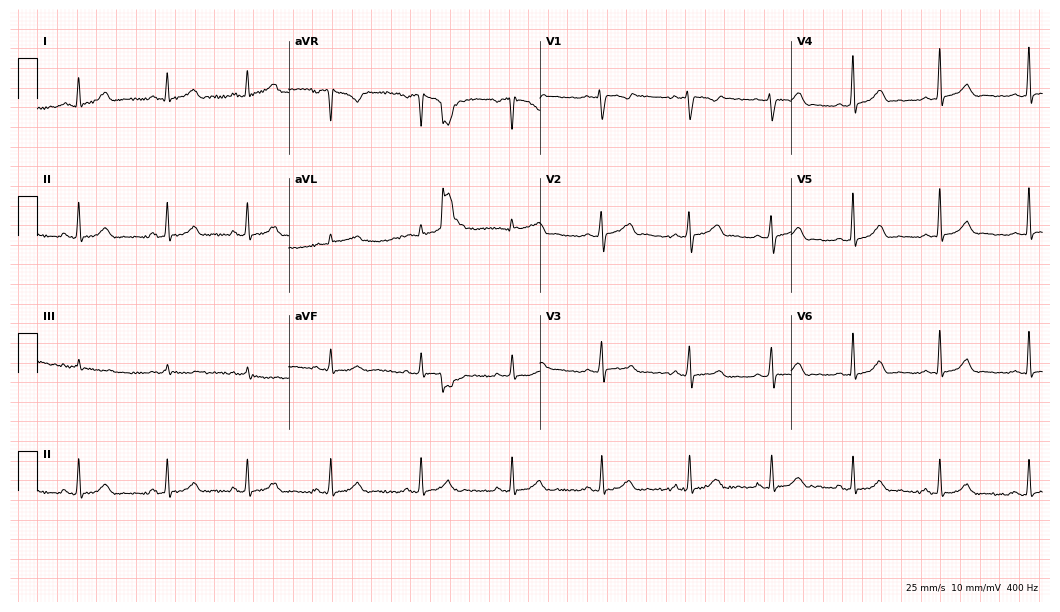
12-lead ECG from a woman, 29 years old. Labelled as a normal ECG.